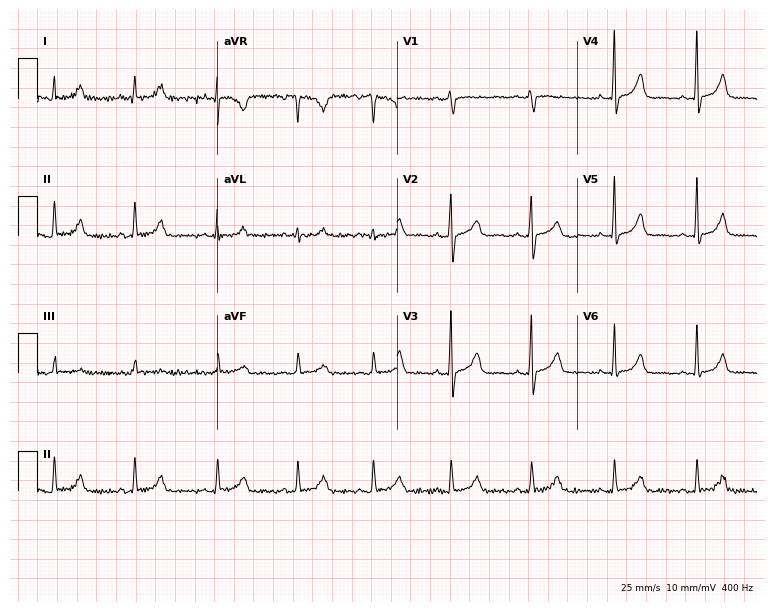
Electrocardiogram (7.3-second recording at 400 Hz), a female patient, 30 years old. Overall reading on record: normal ECG.